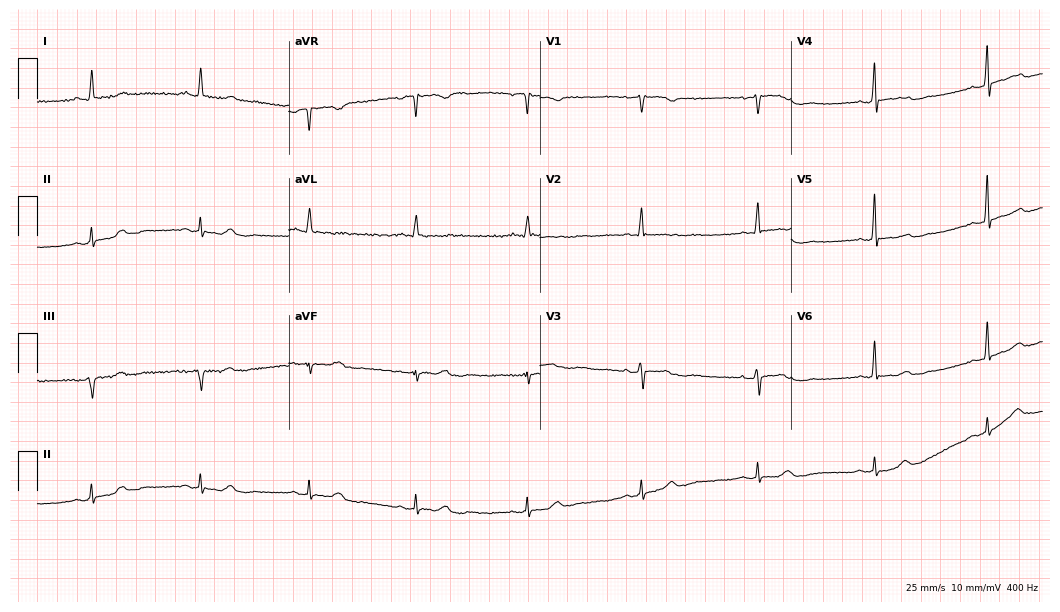
Electrocardiogram (10.2-second recording at 400 Hz), a 67-year-old female patient. Of the six screened findings (first-degree AV block, right bundle branch block (RBBB), left bundle branch block (LBBB), sinus bradycardia, atrial fibrillation (AF), sinus tachycardia), none is recorded.